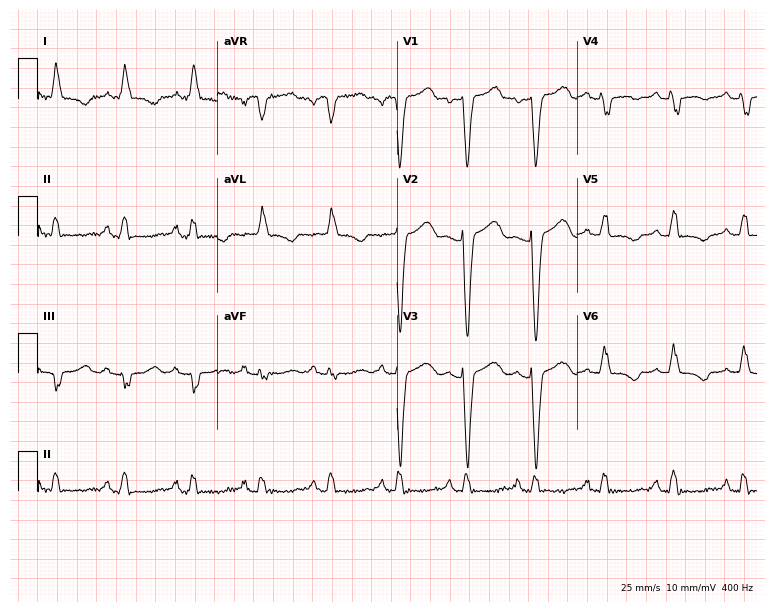
ECG (7.3-second recording at 400 Hz) — a 54-year-old woman. Screened for six findings — first-degree AV block, right bundle branch block (RBBB), left bundle branch block (LBBB), sinus bradycardia, atrial fibrillation (AF), sinus tachycardia — none is recorded. Only these six findings were labelled.